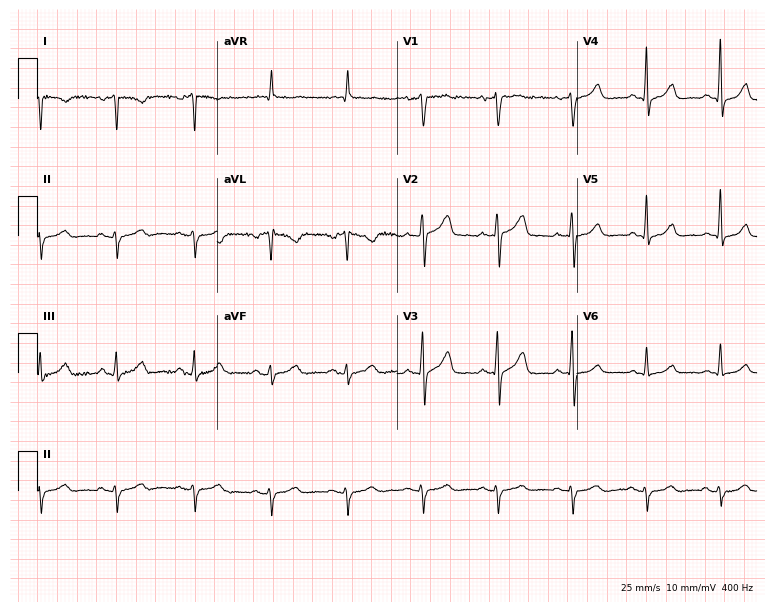
Standard 12-lead ECG recorded from a female, 70 years old (7.3-second recording at 400 Hz). None of these six findings is recorded: first-degree AV block, right bundle branch block, left bundle branch block, sinus bradycardia, atrial fibrillation, sinus tachycardia. Only these six findings were labelled.